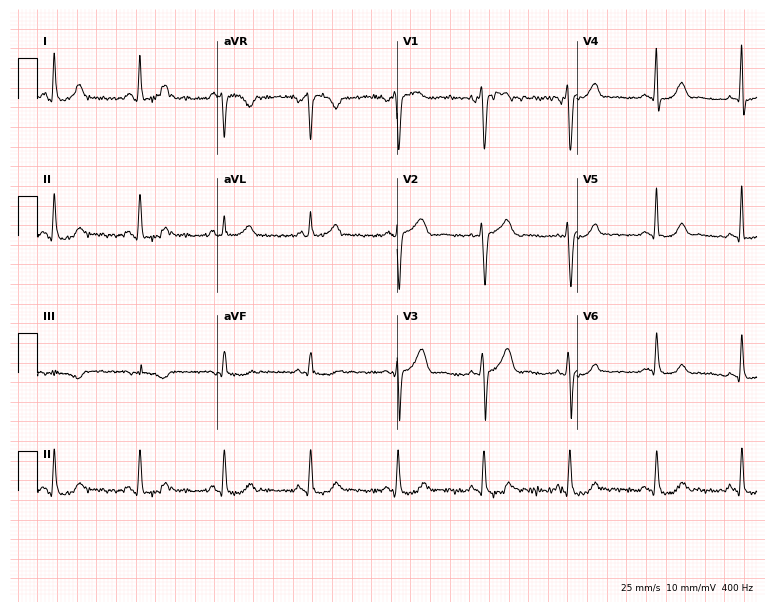
12-lead ECG (7.3-second recording at 400 Hz) from a 33-year-old woman. Labelled as a normal ECG.